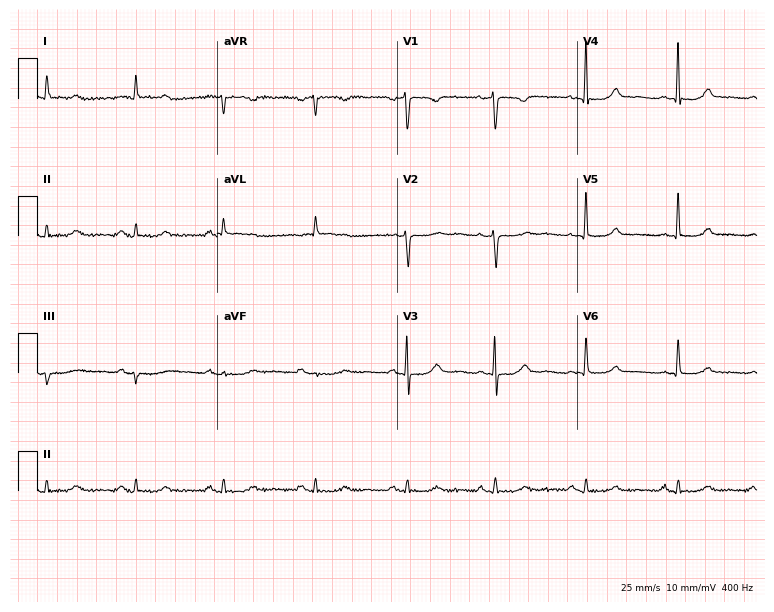
Standard 12-lead ECG recorded from an 82-year-old woman (7.3-second recording at 400 Hz). Read as a normal ECG.